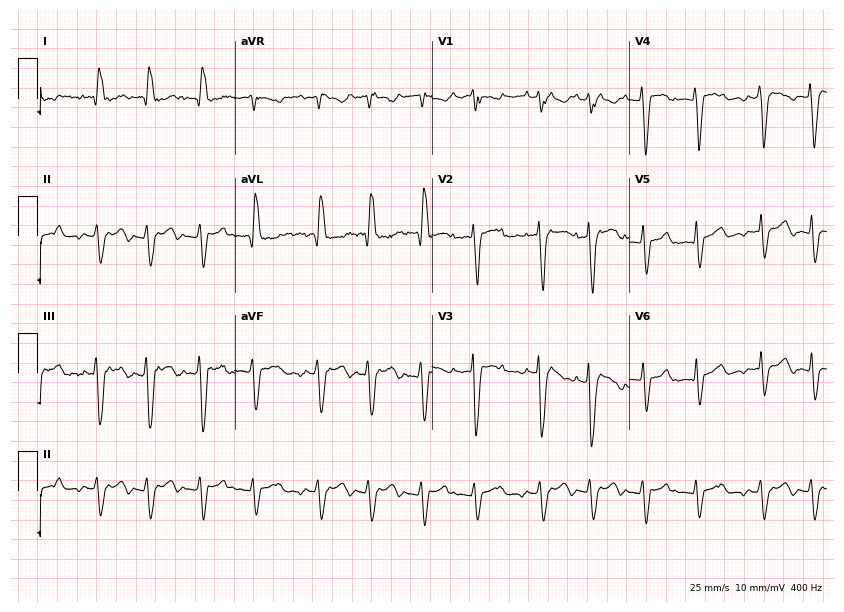
ECG (8-second recording at 400 Hz) — a female patient, 42 years old. Screened for six findings — first-degree AV block, right bundle branch block, left bundle branch block, sinus bradycardia, atrial fibrillation, sinus tachycardia — none is recorded.